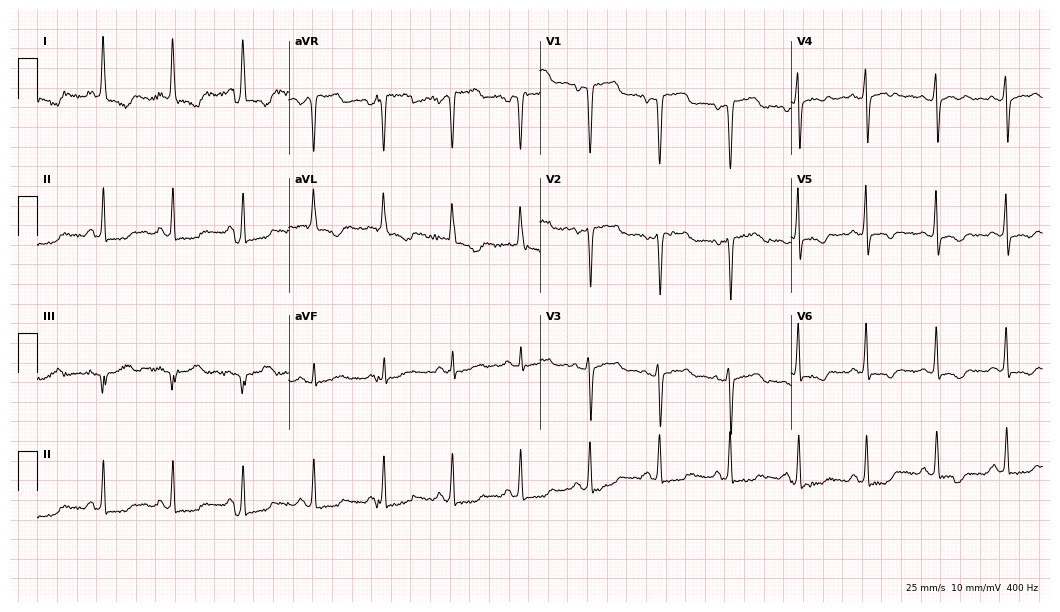
Standard 12-lead ECG recorded from a woman, 62 years old. None of these six findings is recorded: first-degree AV block, right bundle branch block, left bundle branch block, sinus bradycardia, atrial fibrillation, sinus tachycardia. Other findings, if any, are not listed.